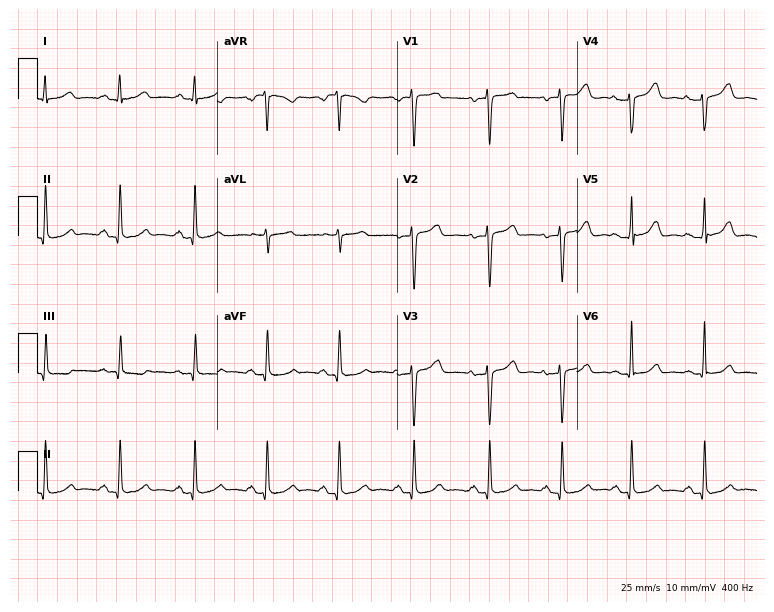
12-lead ECG from a woman, 34 years old (7.3-second recording at 400 Hz). No first-degree AV block, right bundle branch block (RBBB), left bundle branch block (LBBB), sinus bradycardia, atrial fibrillation (AF) or sinus tachycardia recorded for this tracing.